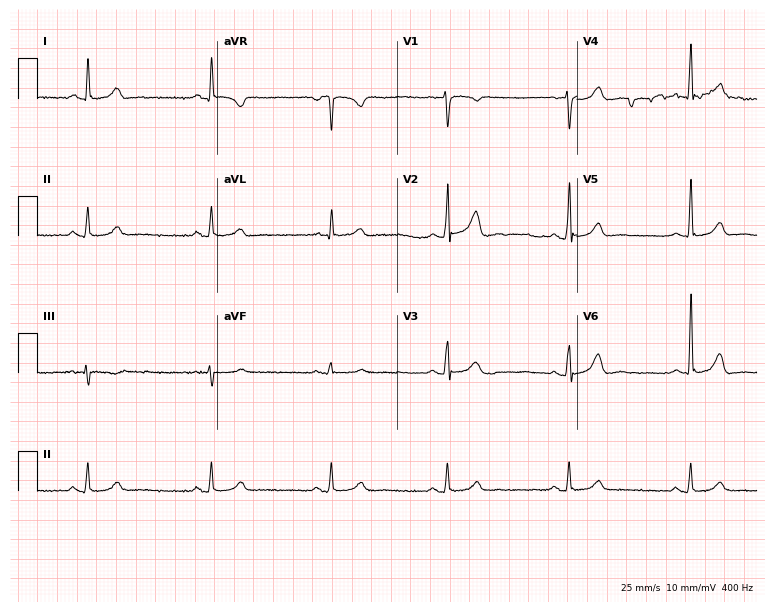
Electrocardiogram (7.3-second recording at 400 Hz), a woman, 44 years old. Interpretation includes sinus bradycardia (a sinus rate of 50 beats per minute or less).